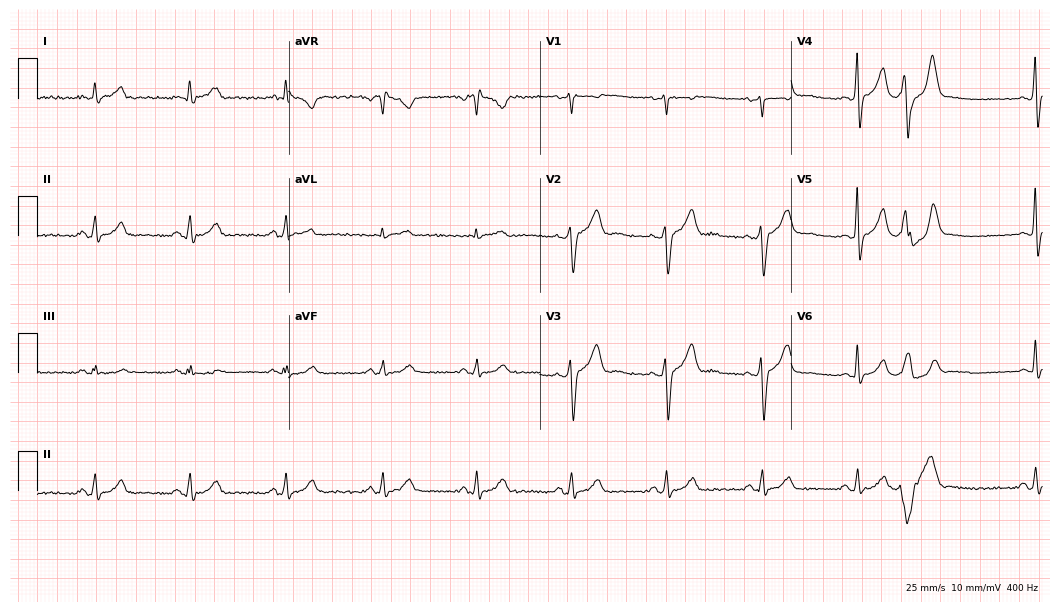
Standard 12-lead ECG recorded from a 40-year-old male. None of these six findings is recorded: first-degree AV block, right bundle branch block (RBBB), left bundle branch block (LBBB), sinus bradycardia, atrial fibrillation (AF), sinus tachycardia. Only these six findings were labelled.